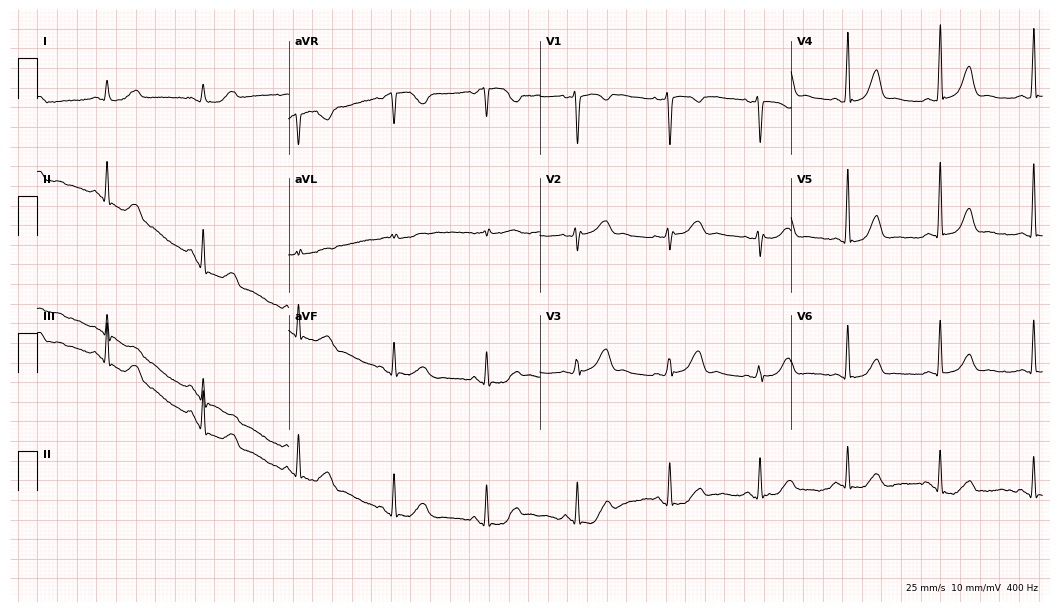
ECG — a female, 48 years old. Screened for six findings — first-degree AV block, right bundle branch block, left bundle branch block, sinus bradycardia, atrial fibrillation, sinus tachycardia — none is recorded. Findings outside these six are not listed.